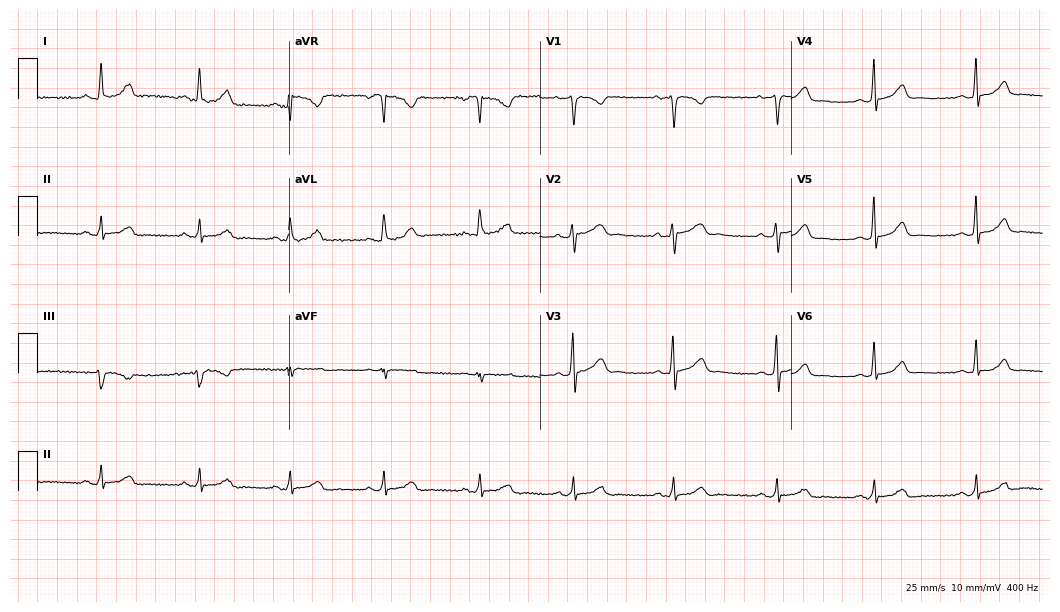
ECG — a 30-year-old female patient. Screened for six findings — first-degree AV block, right bundle branch block, left bundle branch block, sinus bradycardia, atrial fibrillation, sinus tachycardia — none is recorded. Other findings, if any, are not listed.